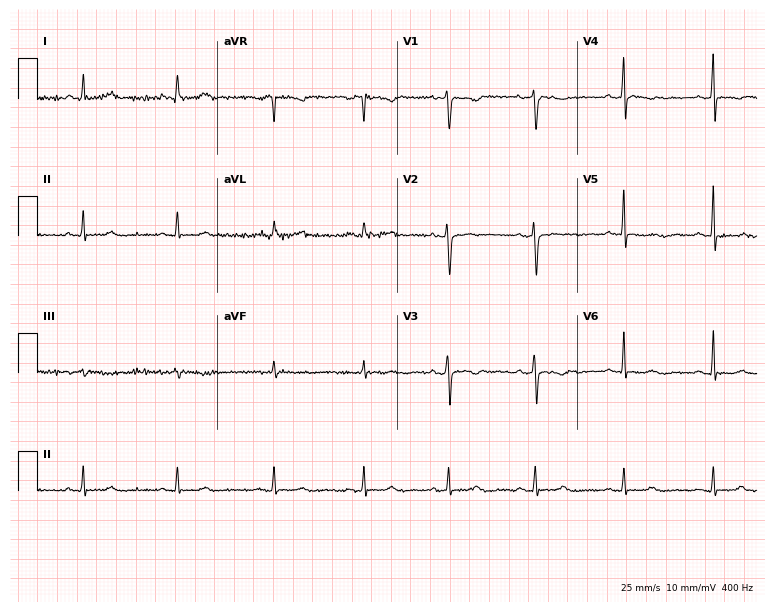
12-lead ECG from a 38-year-old female. No first-degree AV block, right bundle branch block, left bundle branch block, sinus bradycardia, atrial fibrillation or sinus tachycardia recorded for this tracing. Only these six findings were labelled.